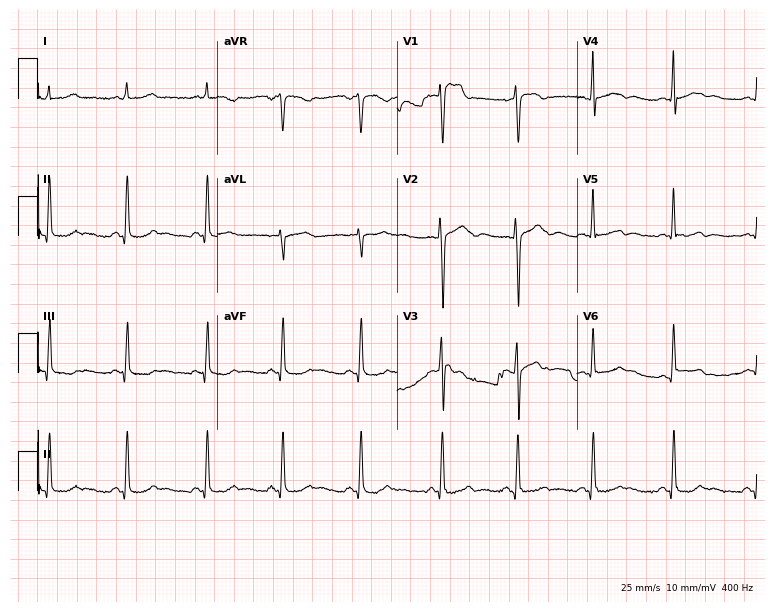
Electrocardiogram (7.3-second recording at 400 Hz), a female patient, 35 years old. Of the six screened findings (first-degree AV block, right bundle branch block, left bundle branch block, sinus bradycardia, atrial fibrillation, sinus tachycardia), none is recorded.